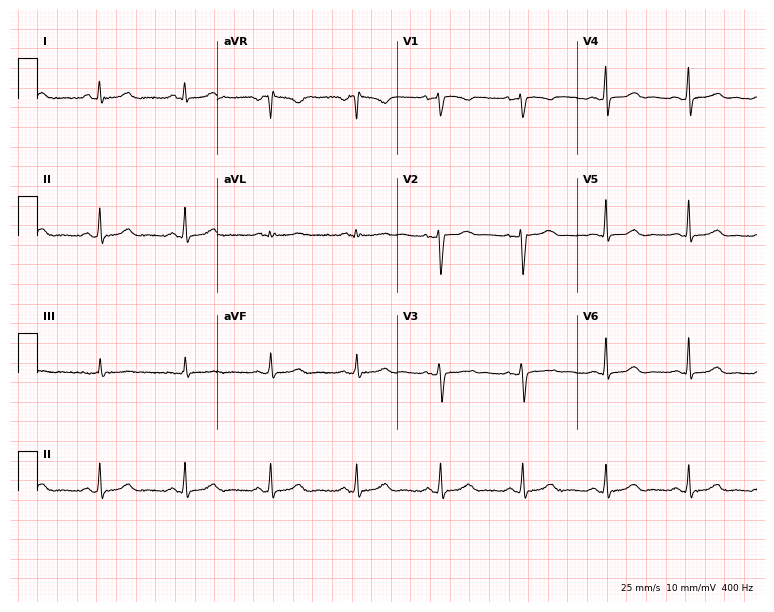
Standard 12-lead ECG recorded from a 50-year-old female (7.3-second recording at 400 Hz). Read as a normal ECG.